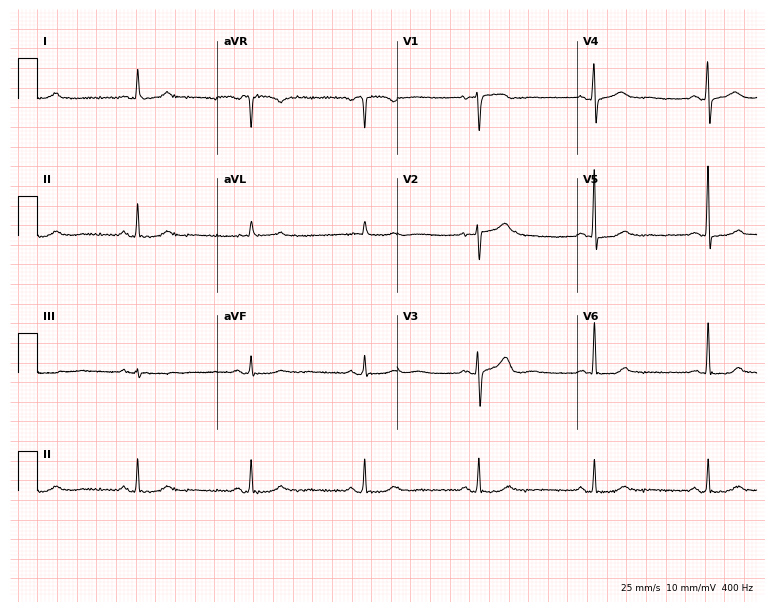
12-lead ECG (7.3-second recording at 400 Hz) from a female patient, 57 years old. Labelled as a normal ECG.